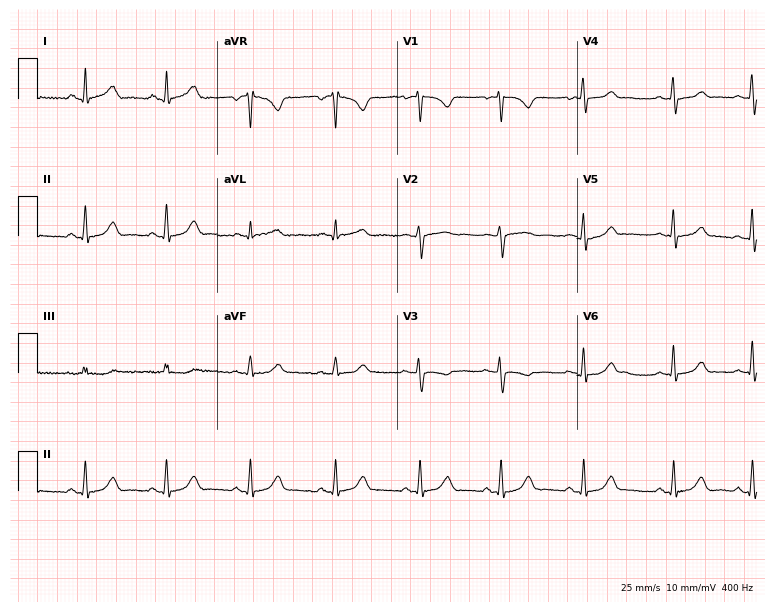
Resting 12-lead electrocardiogram. Patient: a 24-year-old female. Read as a normal ECG.